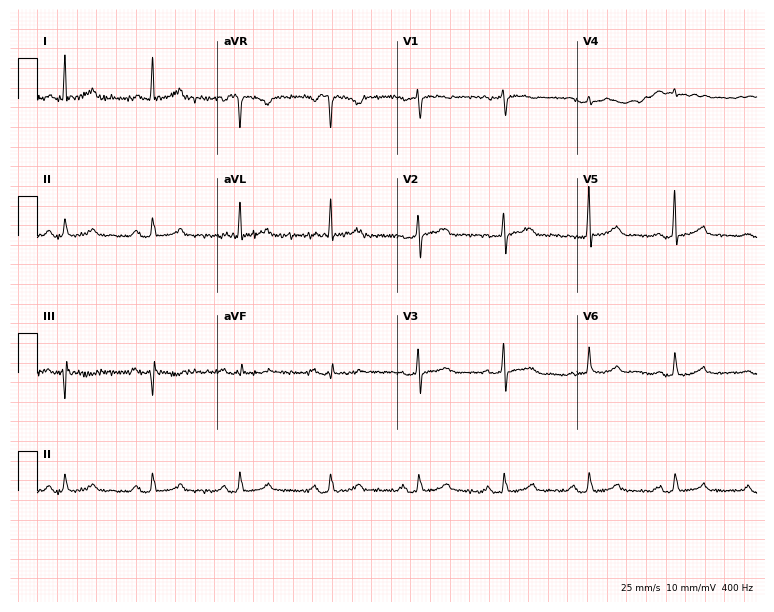
Electrocardiogram, a 55-year-old female. Of the six screened findings (first-degree AV block, right bundle branch block (RBBB), left bundle branch block (LBBB), sinus bradycardia, atrial fibrillation (AF), sinus tachycardia), none is recorded.